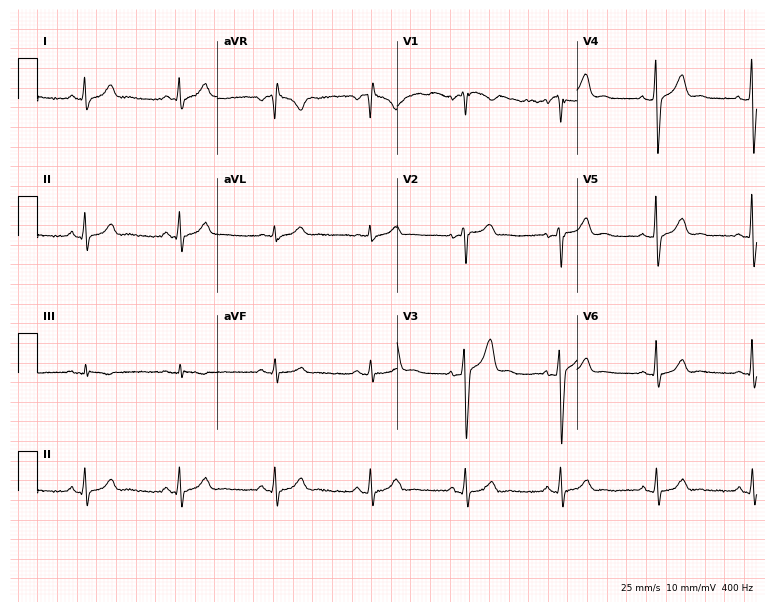
Standard 12-lead ECG recorded from a 62-year-old male patient (7.3-second recording at 400 Hz). Read as a normal ECG.